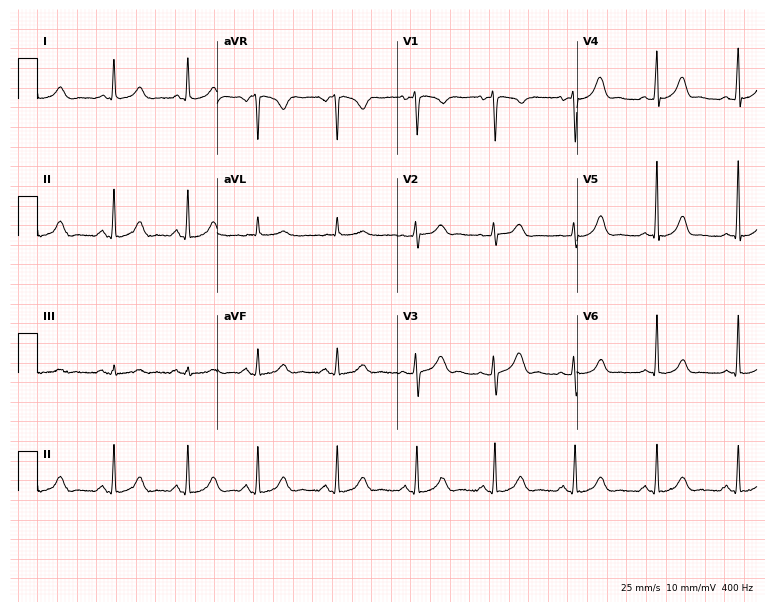
Resting 12-lead electrocardiogram. Patient: a woman, 40 years old. Read as a normal ECG.